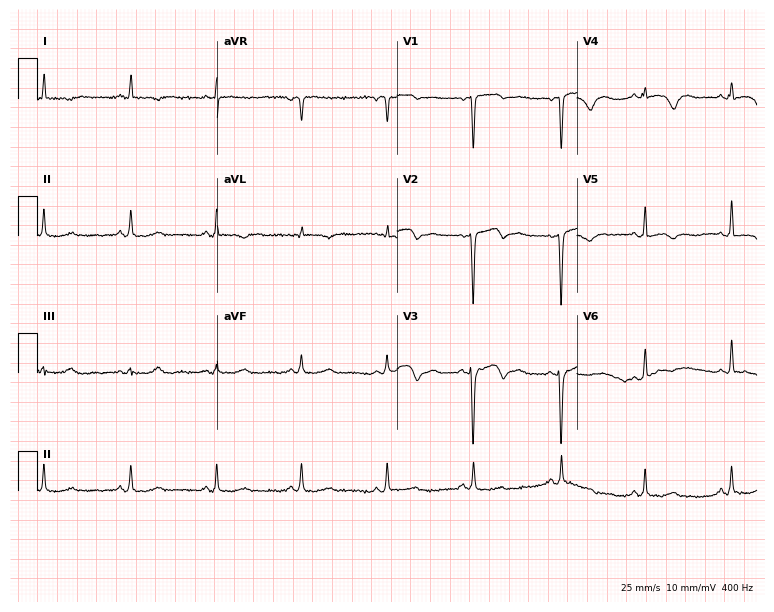
Standard 12-lead ECG recorded from a 77-year-old female patient (7.3-second recording at 400 Hz). None of these six findings is recorded: first-degree AV block, right bundle branch block, left bundle branch block, sinus bradycardia, atrial fibrillation, sinus tachycardia.